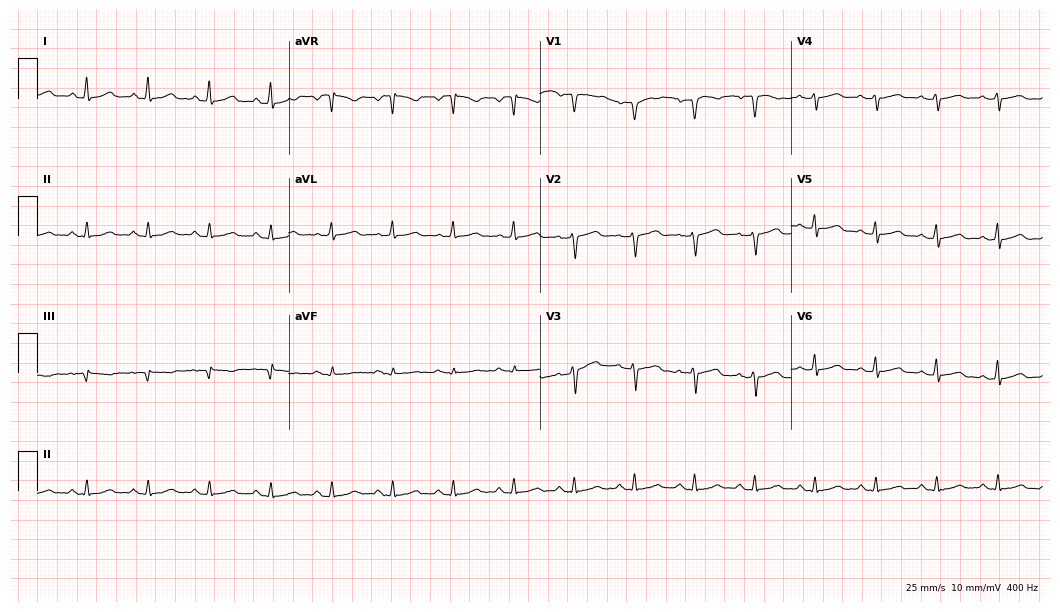
Resting 12-lead electrocardiogram (10.2-second recording at 400 Hz). Patient: a 54-year-old woman. Read as a normal ECG.